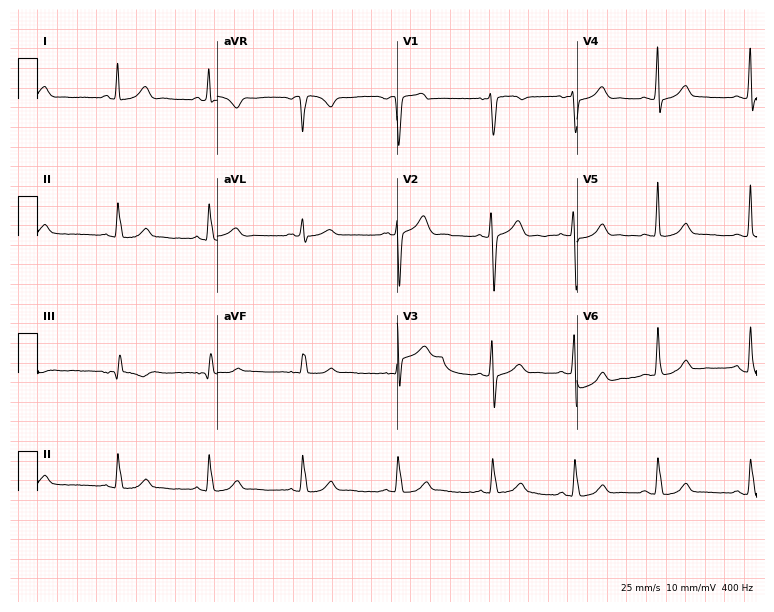
Standard 12-lead ECG recorded from a 39-year-old male (7.3-second recording at 400 Hz). None of these six findings is recorded: first-degree AV block, right bundle branch block, left bundle branch block, sinus bradycardia, atrial fibrillation, sinus tachycardia. Only these six findings were labelled.